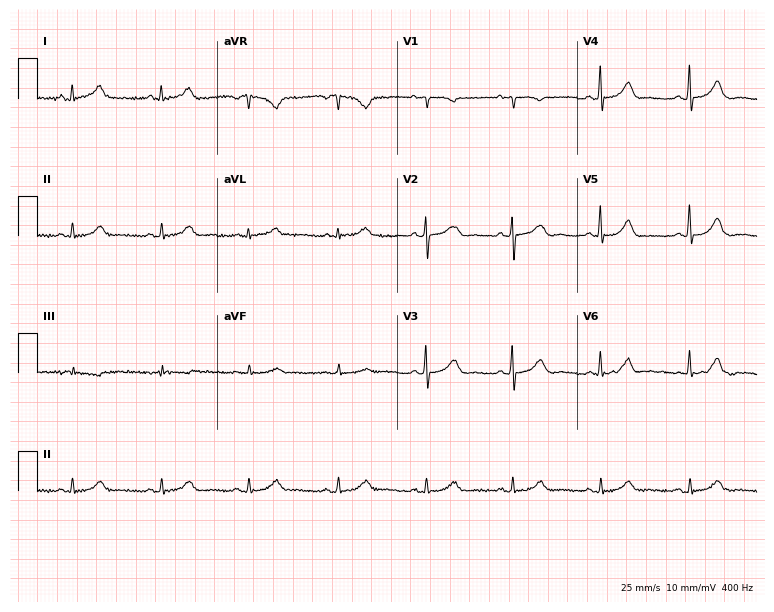
12-lead ECG (7.3-second recording at 400 Hz) from a female, 70 years old. Screened for six findings — first-degree AV block, right bundle branch block, left bundle branch block, sinus bradycardia, atrial fibrillation, sinus tachycardia — none is recorded.